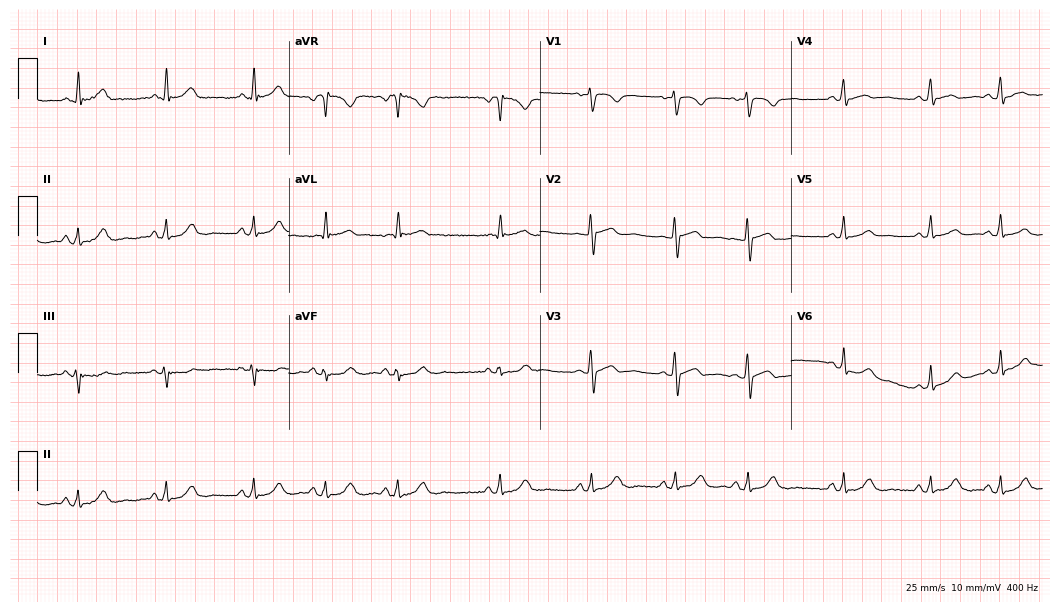
Electrocardiogram (10.2-second recording at 400 Hz), a female, 28 years old. Overall reading on record: normal ECG.